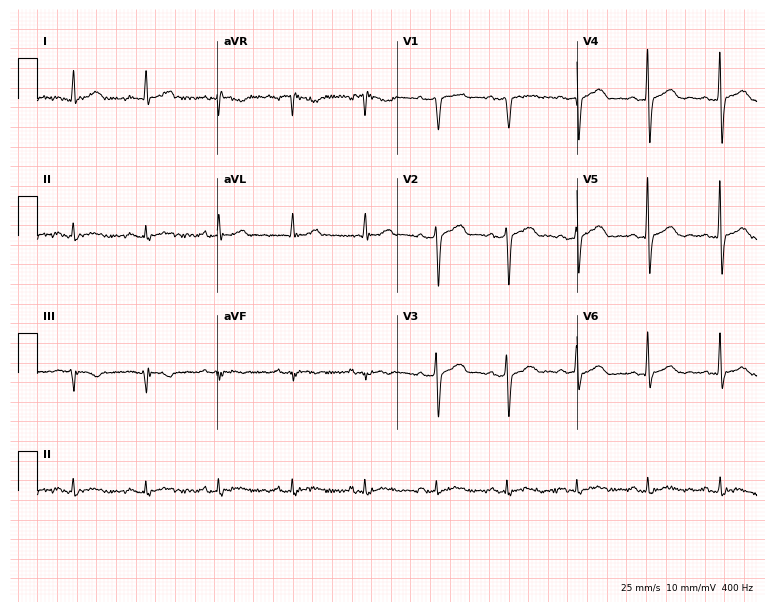
Electrocardiogram (7.3-second recording at 400 Hz), a 52-year-old man. Overall reading on record: normal ECG.